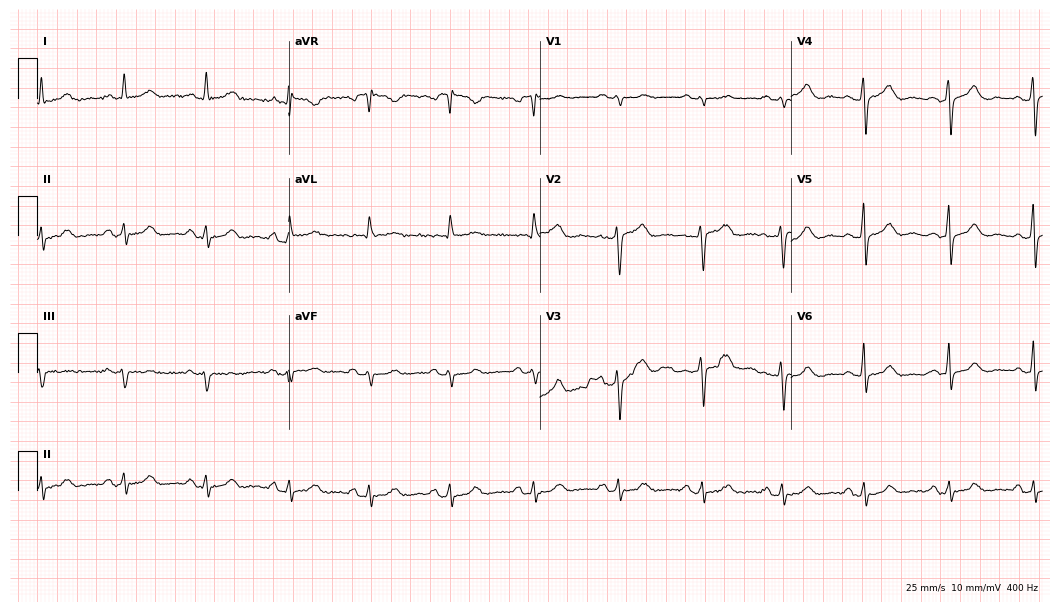
Standard 12-lead ECG recorded from a 57-year-old woman. None of these six findings is recorded: first-degree AV block, right bundle branch block, left bundle branch block, sinus bradycardia, atrial fibrillation, sinus tachycardia.